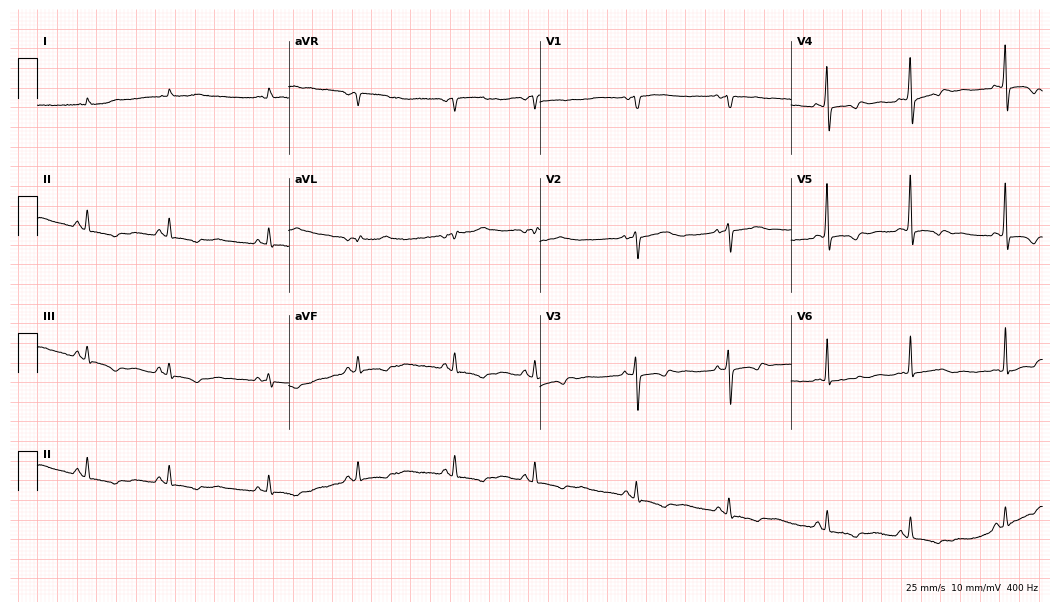
12-lead ECG from a 73-year-old female patient. No first-degree AV block, right bundle branch block, left bundle branch block, sinus bradycardia, atrial fibrillation or sinus tachycardia recorded for this tracing. Only these six findings were labelled.